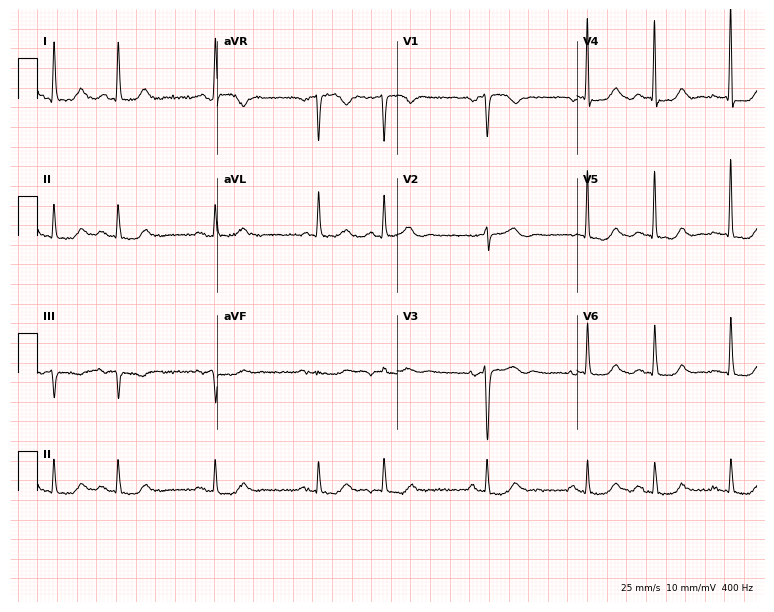
ECG (7.3-second recording at 400 Hz) — a female patient, 81 years old. Screened for six findings — first-degree AV block, right bundle branch block, left bundle branch block, sinus bradycardia, atrial fibrillation, sinus tachycardia — none is recorded. Other findings, if any, are not listed.